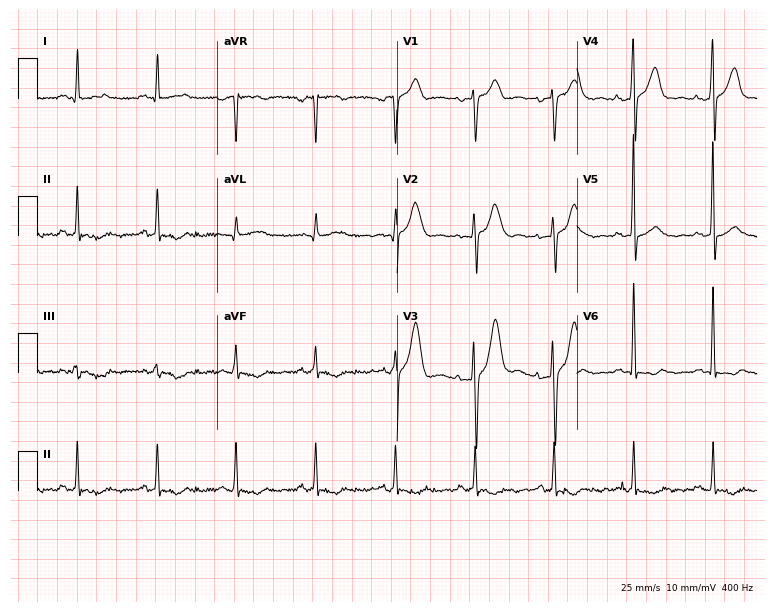
ECG (7.3-second recording at 400 Hz) — a man, 60 years old. Screened for six findings — first-degree AV block, right bundle branch block, left bundle branch block, sinus bradycardia, atrial fibrillation, sinus tachycardia — none is recorded. Findings outside these six are not listed.